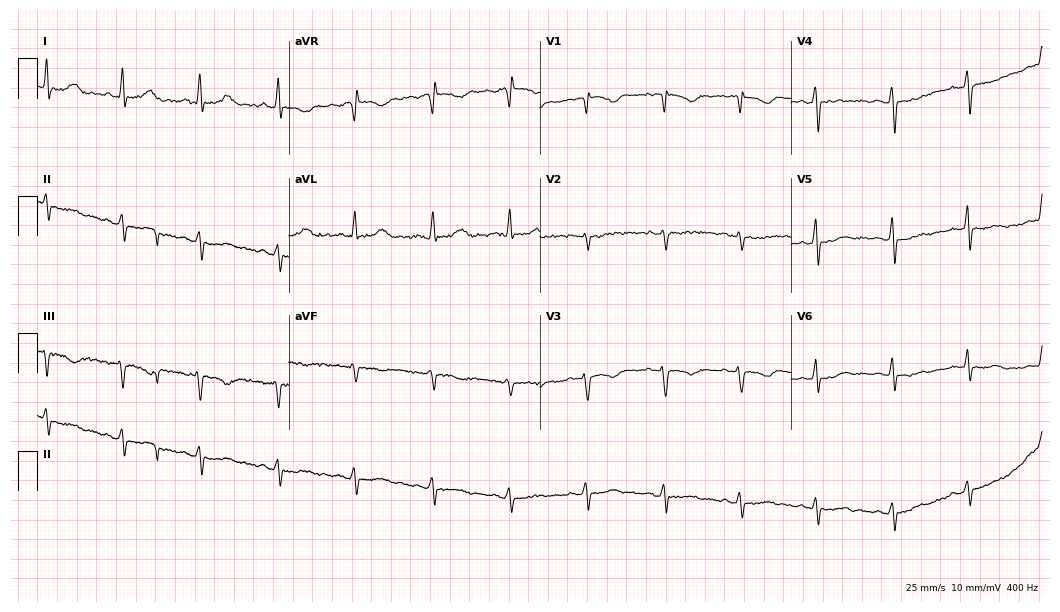
Standard 12-lead ECG recorded from a 47-year-old female. None of these six findings is recorded: first-degree AV block, right bundle branch block, left bundle branch block, sinus bradycardia, atrial fibrillation, sinus tachycardia. Other findings, if any, are not listed.